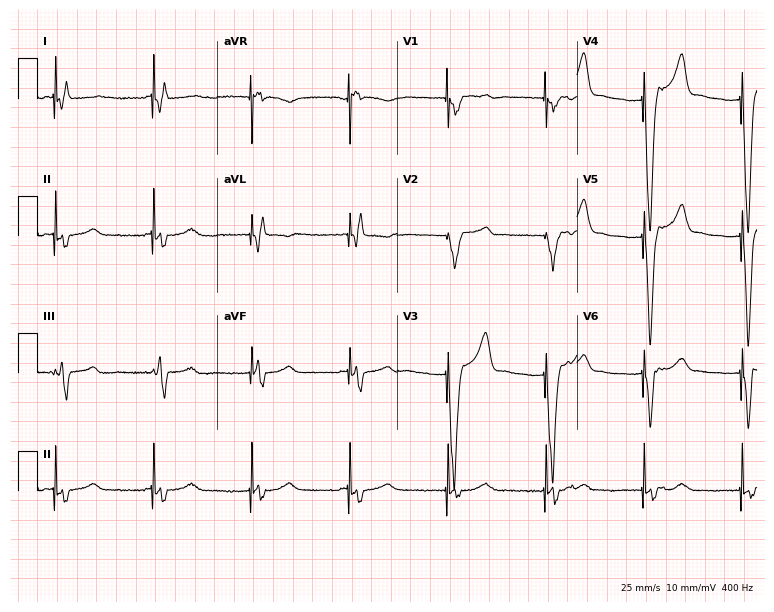
Resting 12-lead electrocardiogram. Patient: a 69-year-old female. None of these six findings is recorded: first-degree AV block, right bundle branch block (RBBB), left bundle branch block (LBBB), sinus bradycardia, atrial fibrillation (AF), sinus tachycardia. Other findings, if any, are not listed.